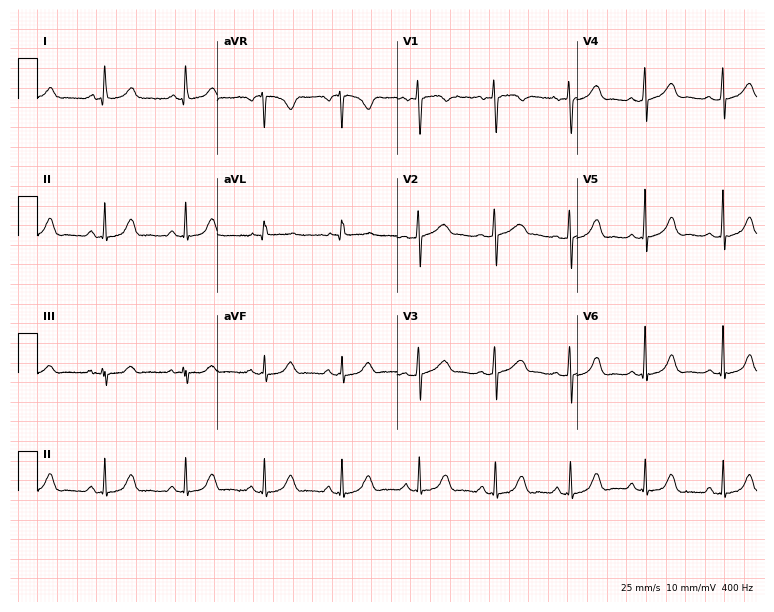
Standard 12-lead ECG recorded from a 45-year-old female patient. Read as a normal ECG.